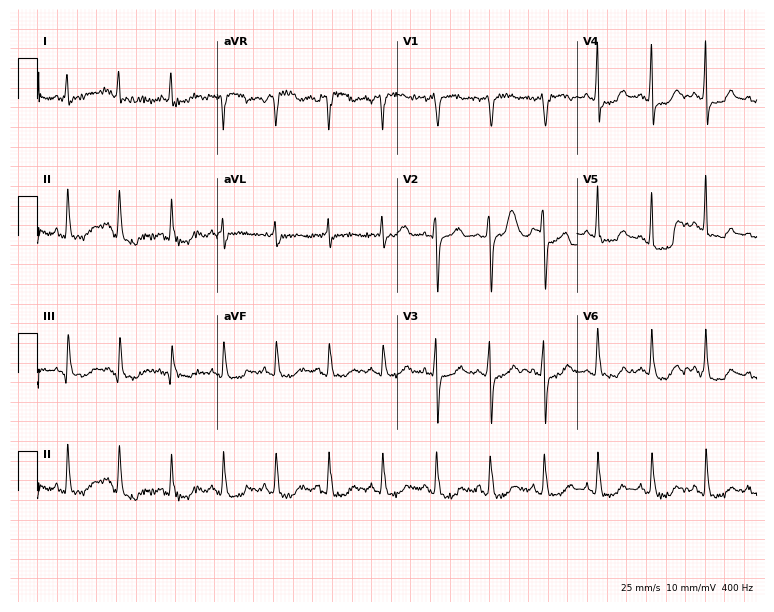
ECG — a female, 65 years old. Findings include sinus tachycardia (a sinus rate of 100 beats per minute or more).